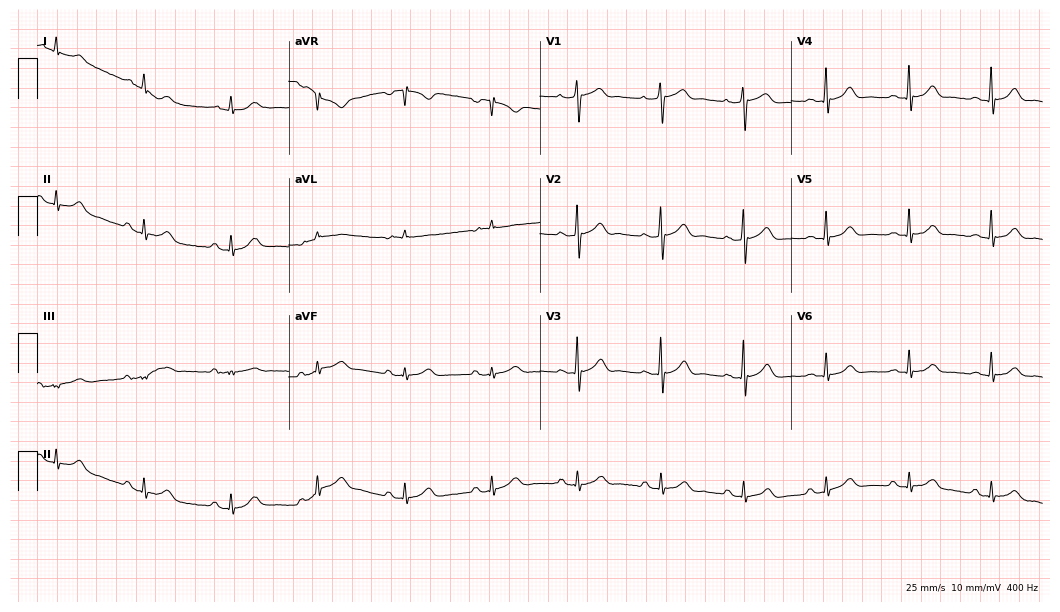
12-lead ECG from a 58-year-old male patient (10.2-second recording at 400 Hz). Recorded interpretation: within normal limits.